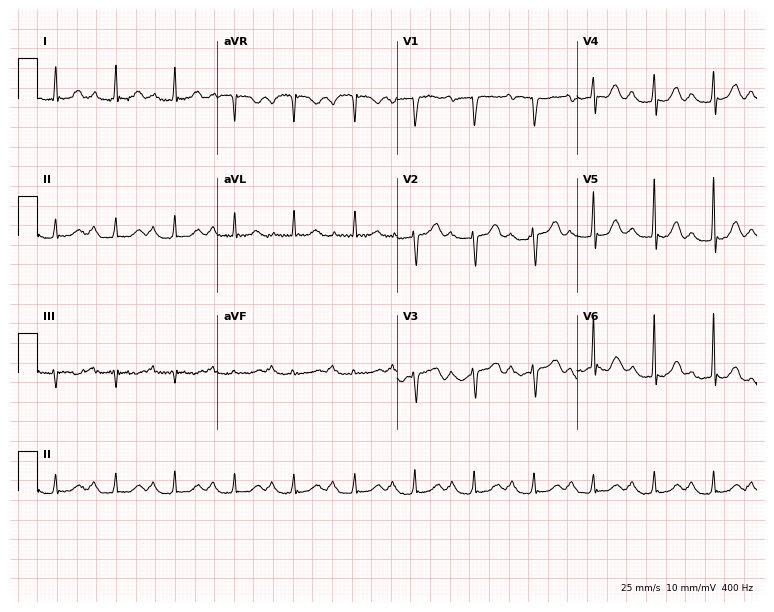
12-lead ECG from an 81-year-old female patient. Findings include first-degree AV block.